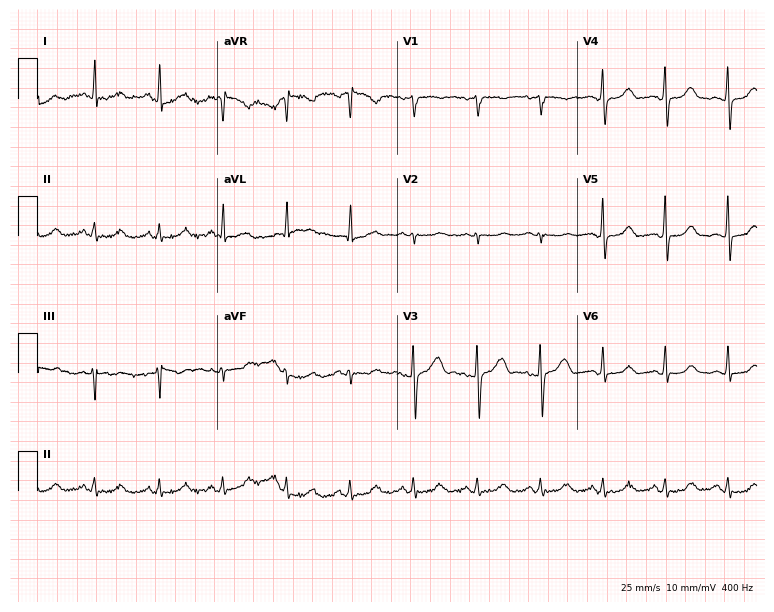
Standard 12-lead ECG recorded from a 43-year-old female (7.3-second recording at 400 Hz). None of these six findings is recorded: first-degree AV block, right bundle branch block, left bundle branch block, sinus bradycardia, atrial fibrillation, sinus tachycardia.